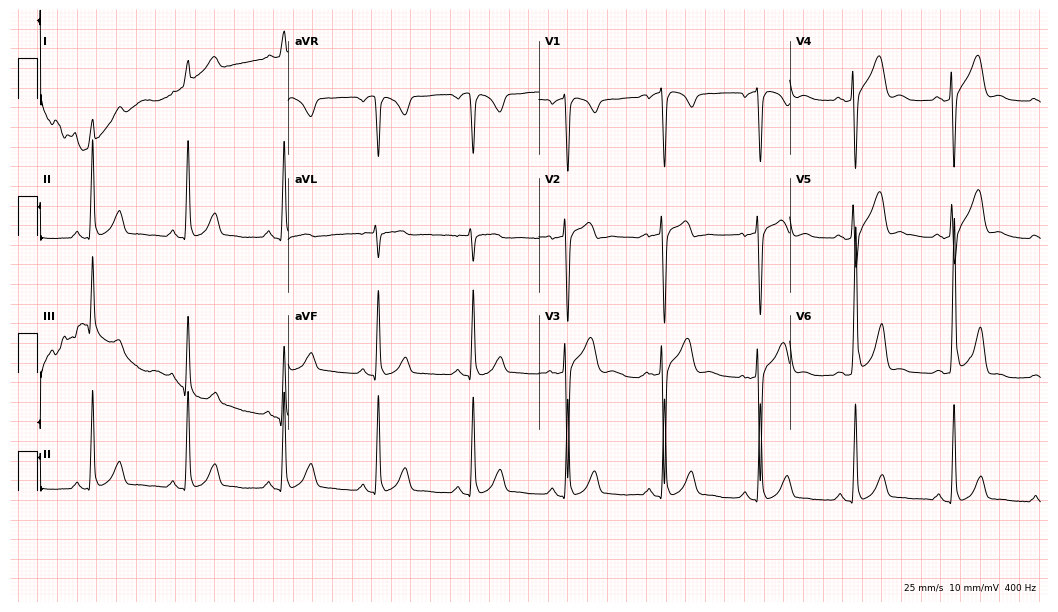
Resting 12-lead electrocardiogram (10.2-second recording at 400 Hz). Patient: a 40-year-old male. None of these six findings is recorded: first-degree AV block, right bundle branch block (RBBB), left bundle branch block (LBBB), sinus bradycardia, atrial fibrillation (AF), sinus tachycardia. Findings outside these six are not listed.